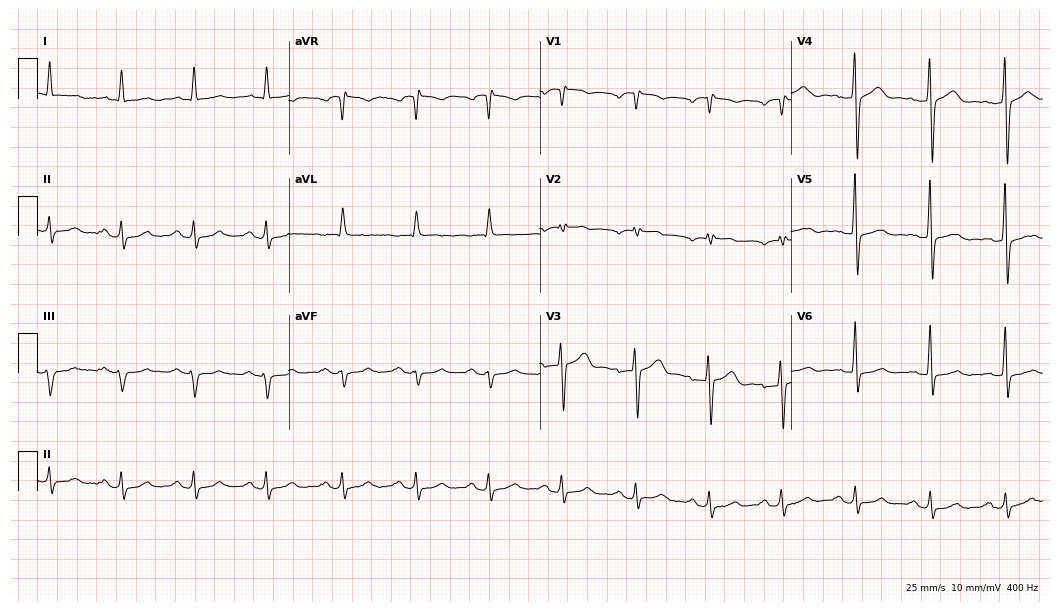
ECG (10.2-second recording at 400 Hz) — a 75-year-old male patient. Labelled as a normal ECG.